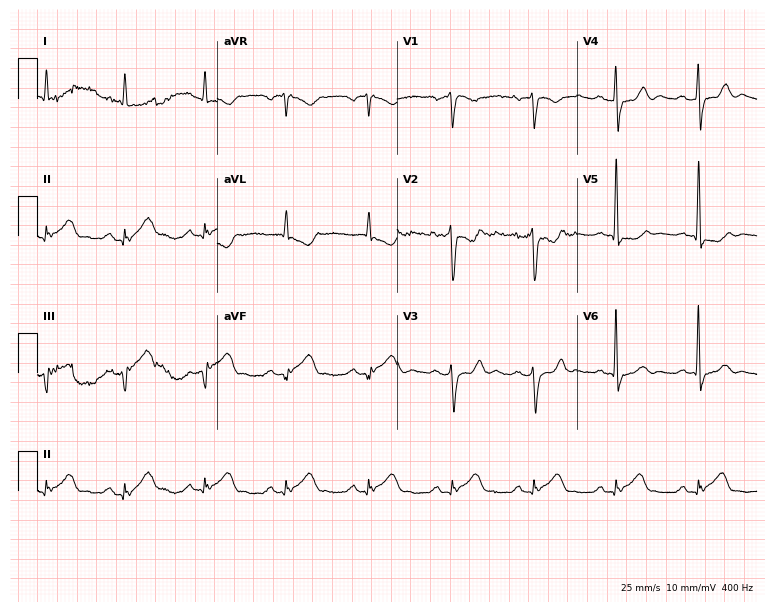
12-lead ECG from a 72-year-old male patient. No first-degree AV block, right bundle branch block (RBBB), left bundle branch block (LBBB), sinus bradycardia, atrial fibrillation (AF) or sinus tachycardia recorded for this tracing. Other findings, if any, are not listed.